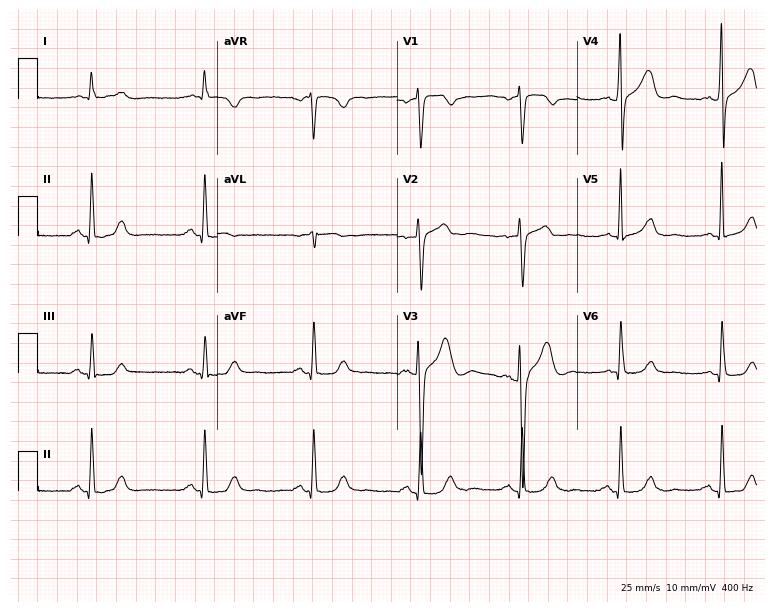
12-lead ECG from a male, 47 years old. No first-degree AV block, right bundle branch block (RBBB), left bundle branch block (LBBB), sinus bradycardia, atrial fibrillation (AF) or sinus tachycardia recorded for this tracing. Other findings, if any, are not listed.